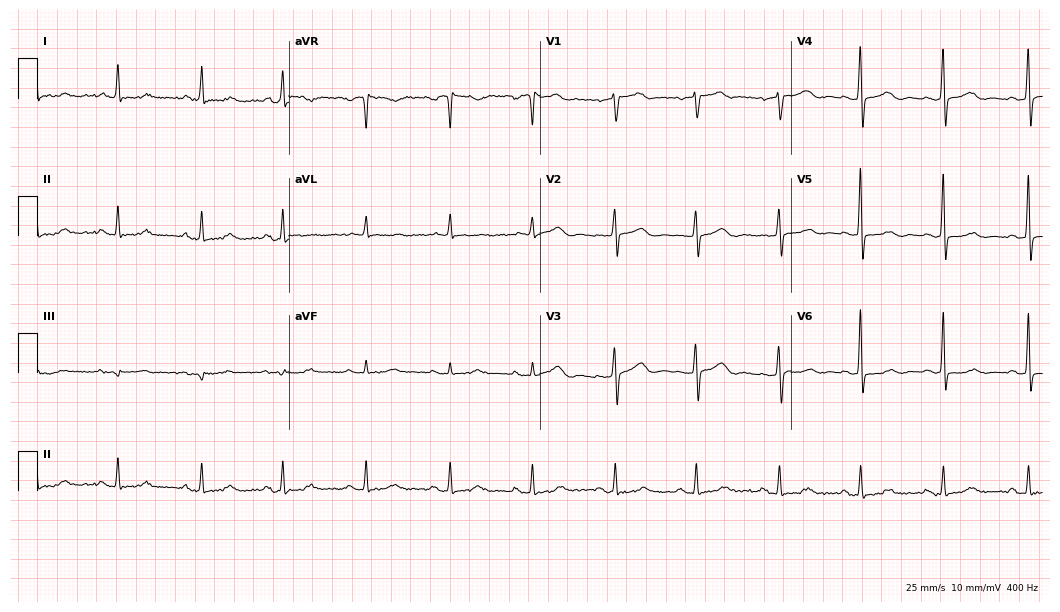
Standard 12-lead ECG recorded from a female patient, 64 years old (10.2-second recording at 400 Hz). Read as a normal ECG.